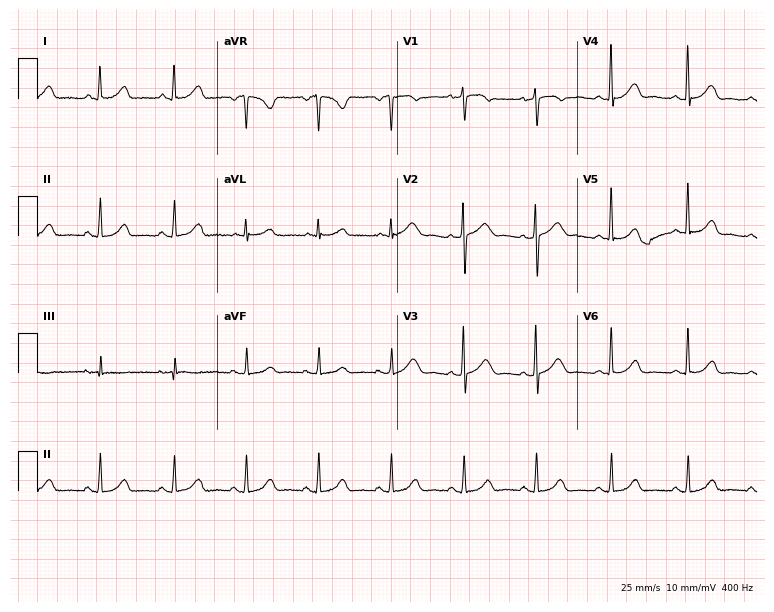
12-lead ECG from a female patient, 50 years old. Screened for six findings — first-degree AV block, right bundle branch block (RBBB), left bundle branch block (LBBB), sinus bradycardia, atrial fibrillation (AF), sinus tachycardia — none is recorded.